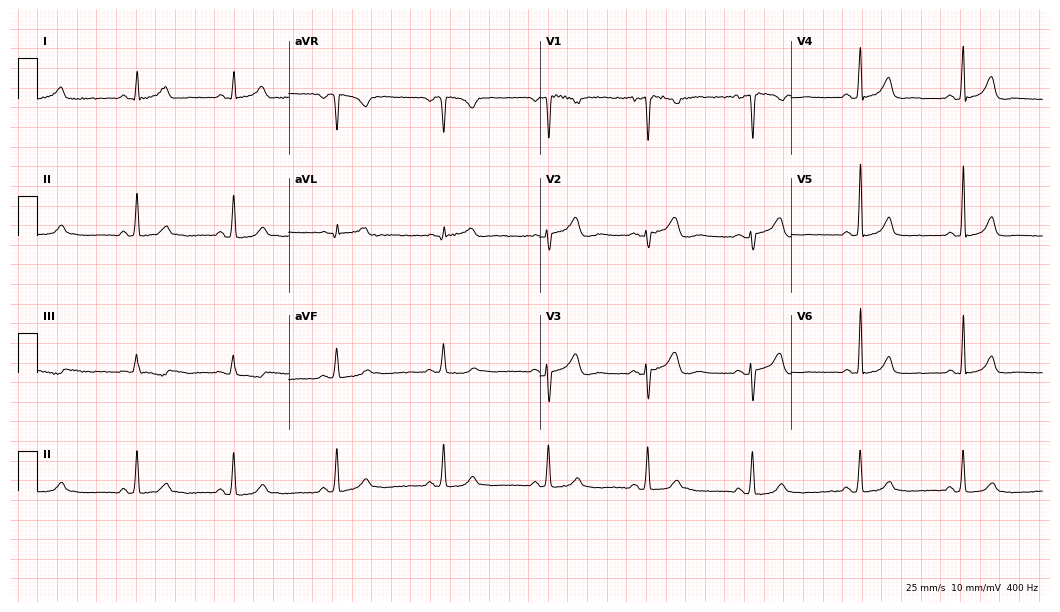
12-lead ECG from a 33-year-old female. Labelled as a normal ECG.